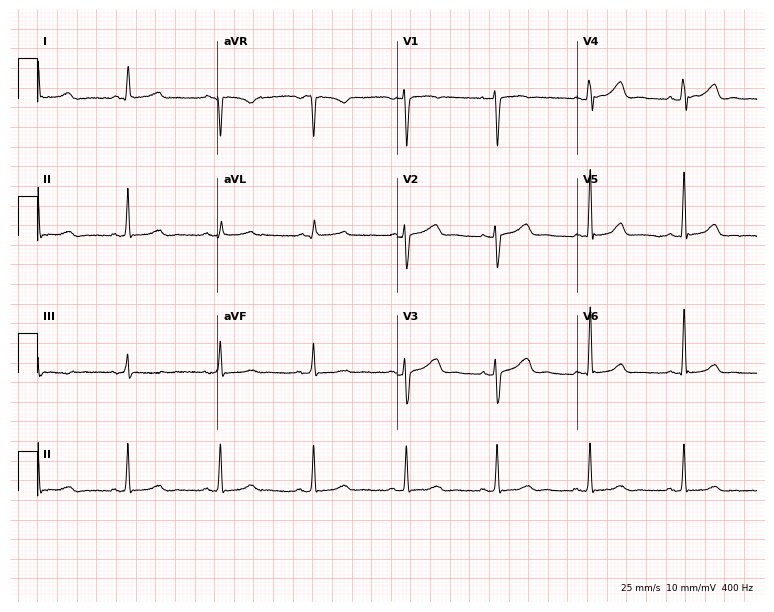
12-lead ECG (7.3-second recording at 400 Hz) from a woman, 47 years old. Labelled as a normal ECG.